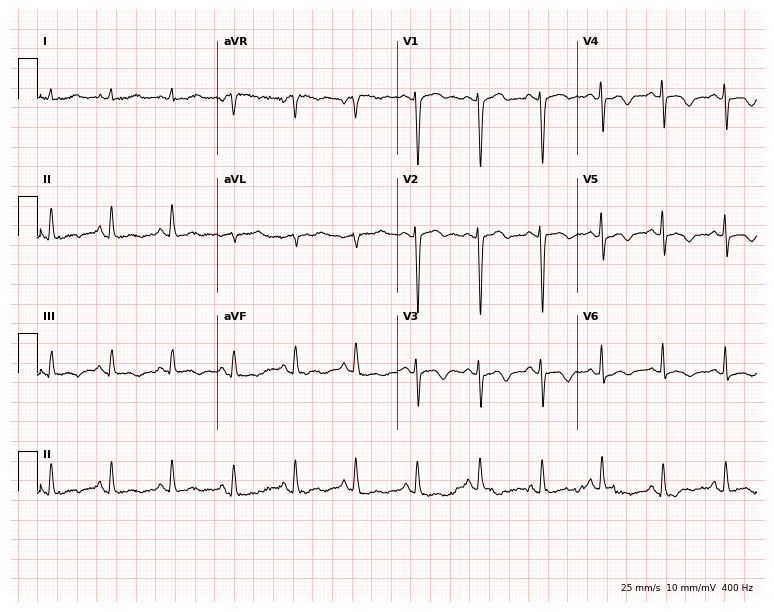
12-lead ECG from a woman, 49 years old. No first-degree AV block, right bundle branch block (RBBB), left bundle branch block (LBBB), sinus bradycardia, atrial fibrillation (AF) or sinus tachycardia recorded for this tracing.